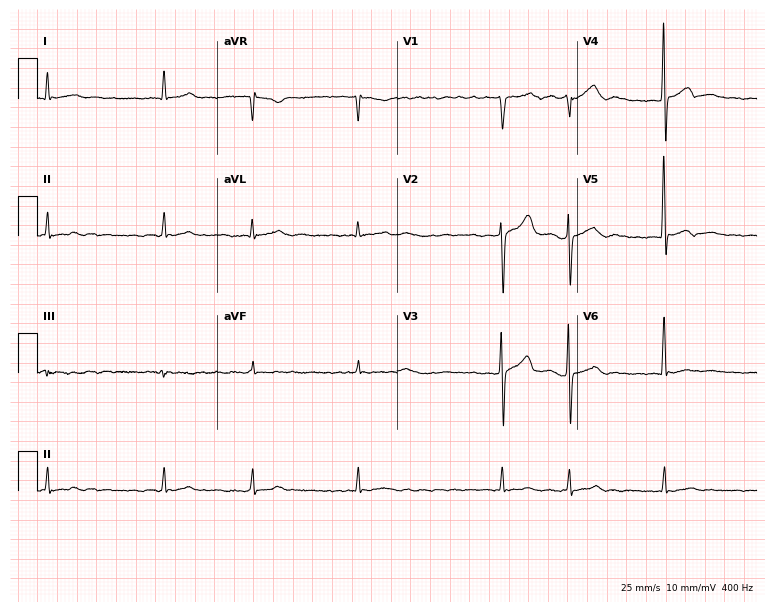
Electrocardiogram, a 64-year-old man. Interpretation includes atrial fibrillation (AF).